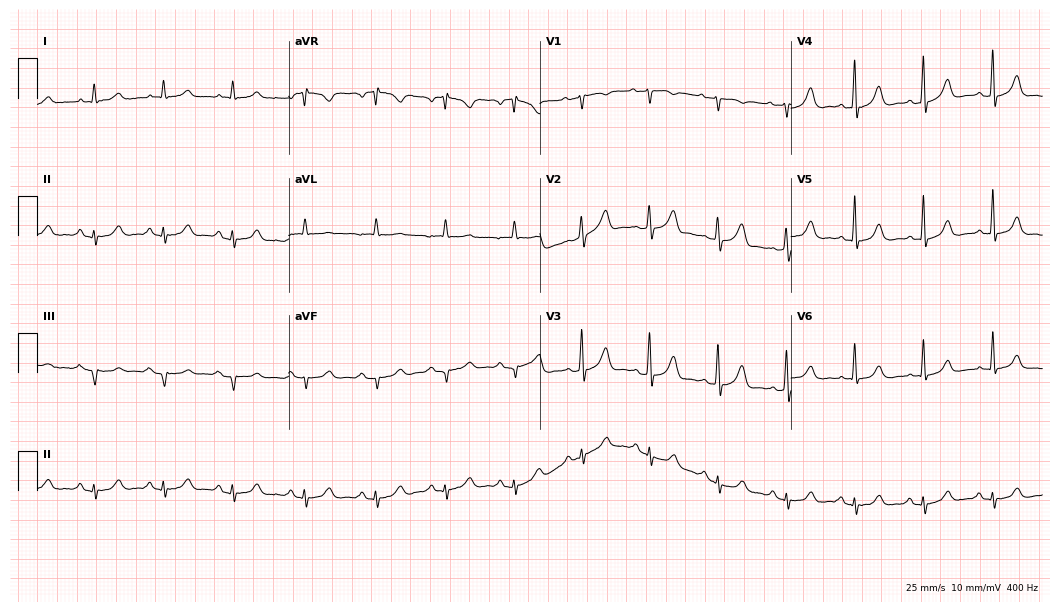
12-lead ECG (10.2-second recording at 400 Hz) from an 83-year-old male. Labelled as a normal ECG.